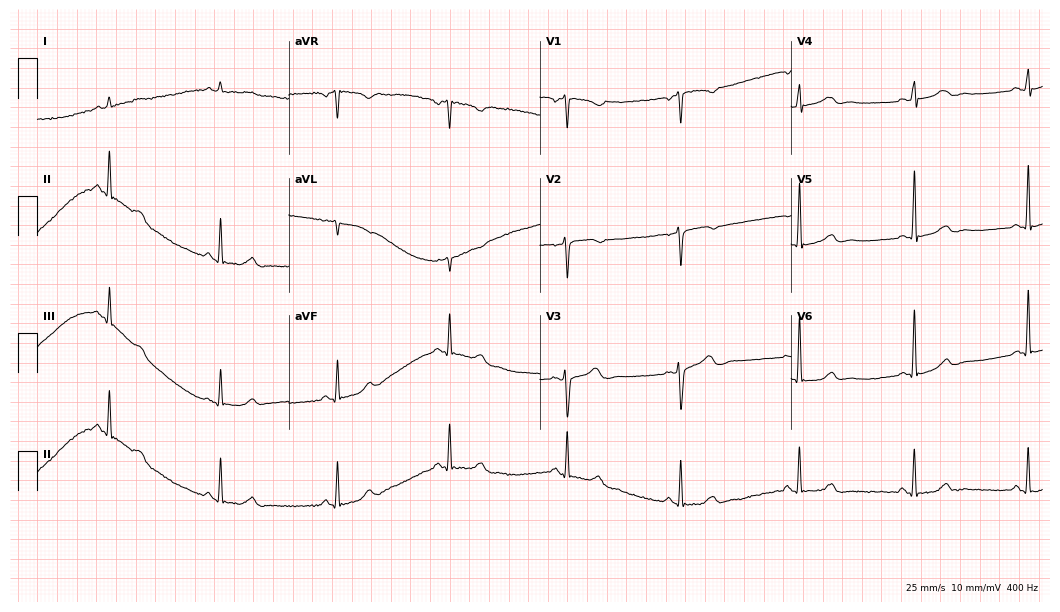
12-lead ECG from a woman, 50 years old (10.2-second recording at 400 Hz). Recorded interpretation: within normal limits.